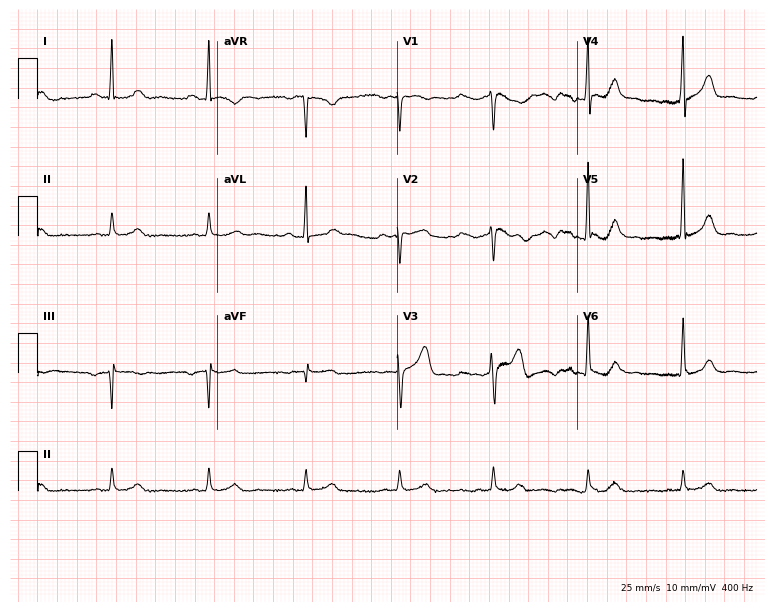
Resting 12-lead electrocardiogram (7.3-second recording at 400 Hz). Patient: a 76-year-old man. Read as a normal ECG.